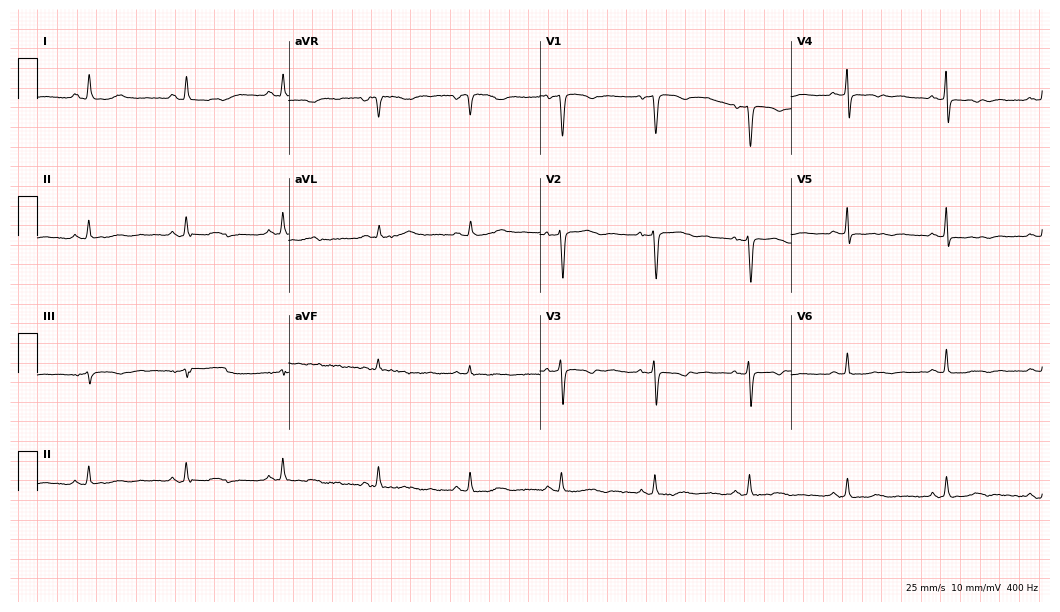
Electrocardiogram (10.2-second recording at 400 Hz), a woman, 73 years old. Of the six screened findings (first-degree AV block, right bundle branch block (RBBB), left bundle branch block (LBBB), sinus bradycardia, atrial fibrillation (AF), sinus tachycardia), none is recorded. Only these six findings were labelled.